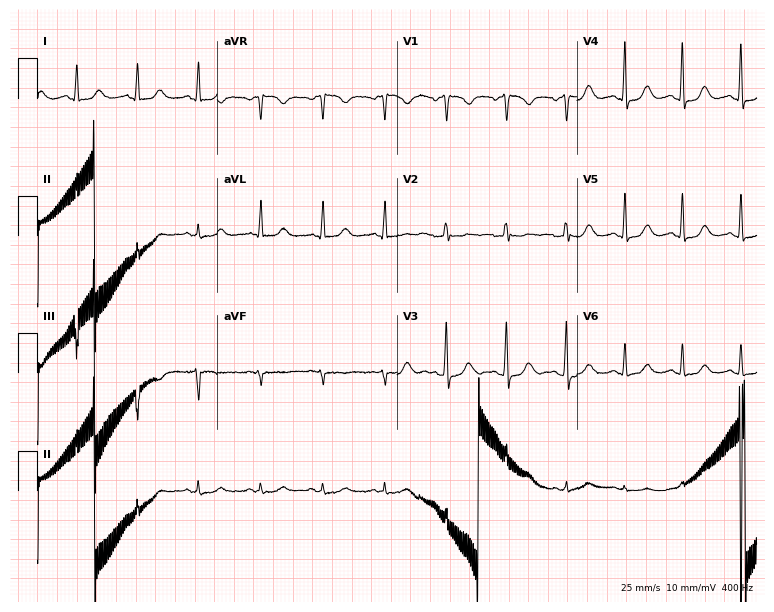
ECG — a female, 50 years old. Labelled as a normal ECG.